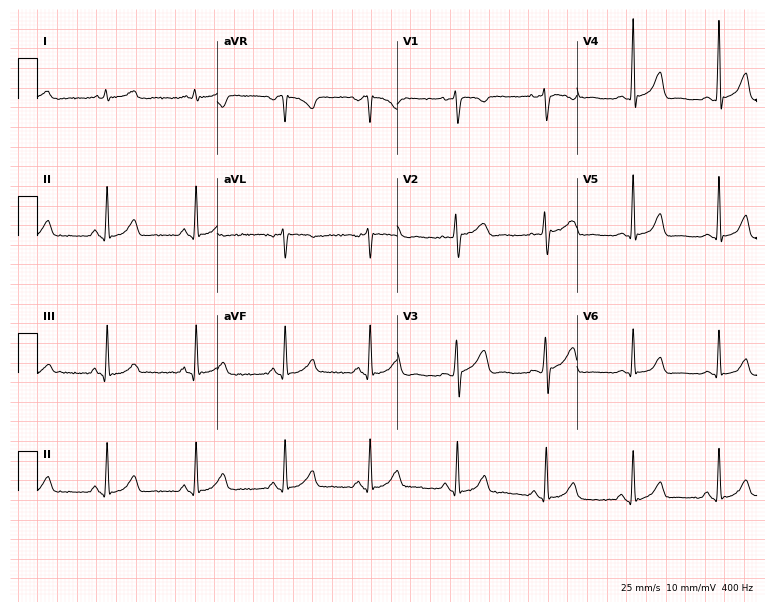
Resting 12-lead electrocardiogram (7.3-second recording at 400 Hz). Patient: a female, 33 years old. None of these six findings is recorded: first-degree AV block, right bundle branch block (RBBB), left bundle branch block (LBBB), sinus bradycardia, atrial fibrillation (AF), sinus tachycardia. Other findings, if any, are not listed.